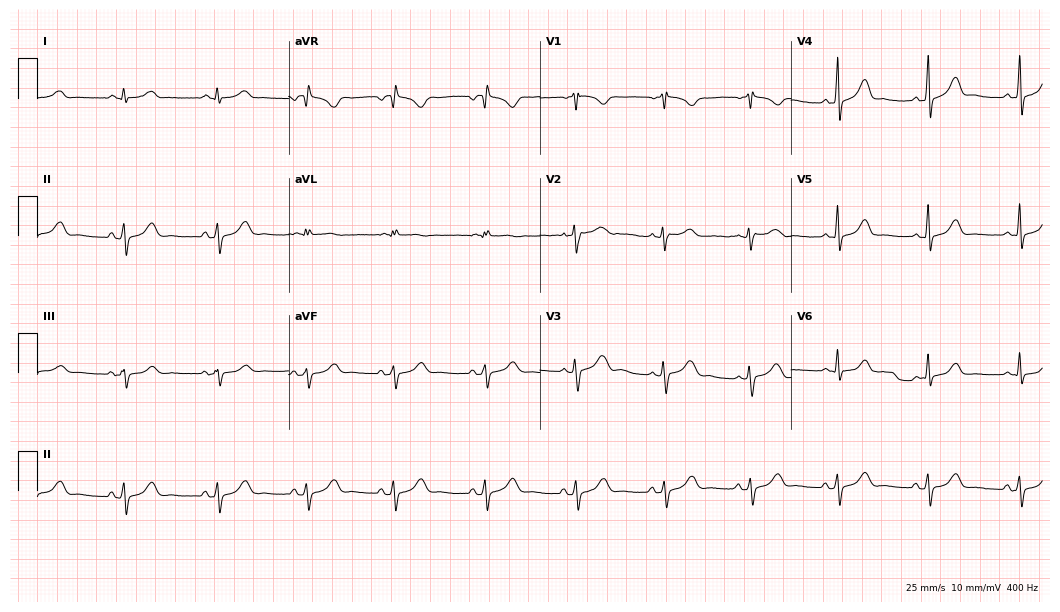
Standard 12-lead ECG recorded from a 32-year-old female. Read as a normal ECG.